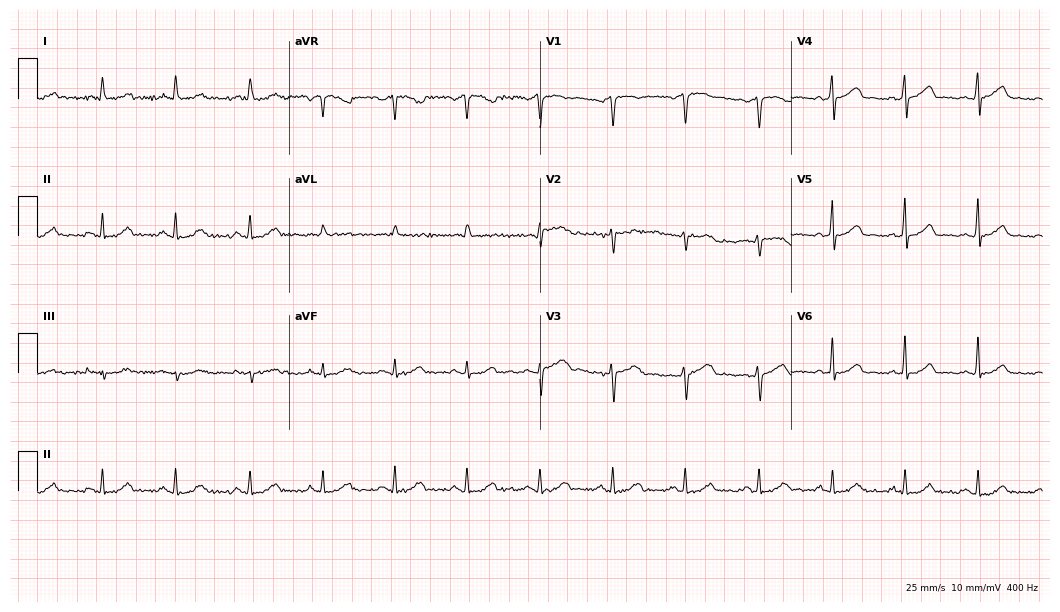
Electrocardiogram, a 46-year-old female. Overall reading on record: normal ECG.